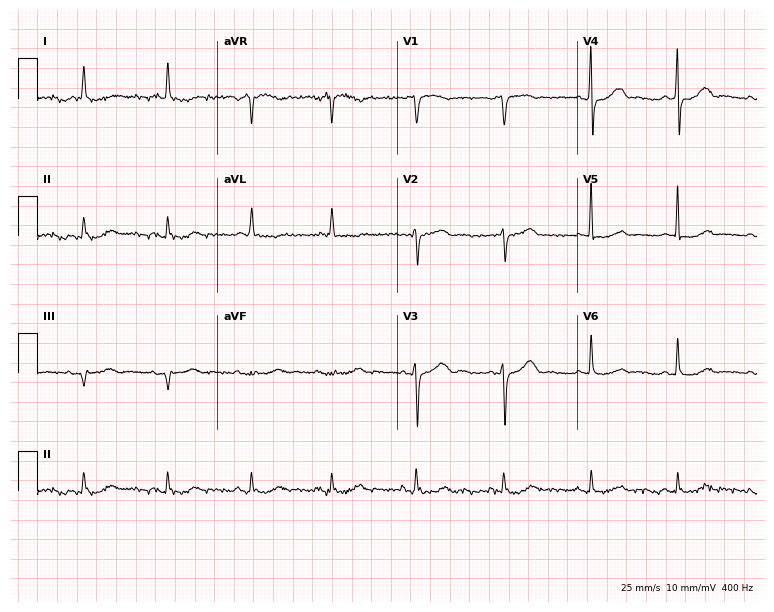
Resting 12-lead electrocardiogram. Patient: a female, 83 years old. None of these six findings is recorded: first-degree AV block, right bundle branch block, left bundle branch block, sinus bradycardia, atrial fibrillation, sinus tachycardia. Other findings, if any, are not listed.